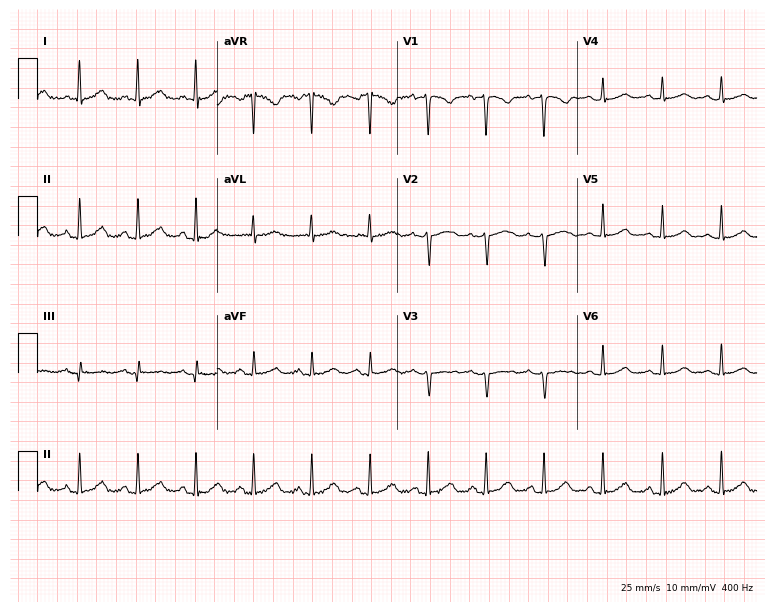
Standard 12-lead ECG recorded from a 43-year-old female patient (7.3-second recording at 400 Hz). Read as a normal ECG.